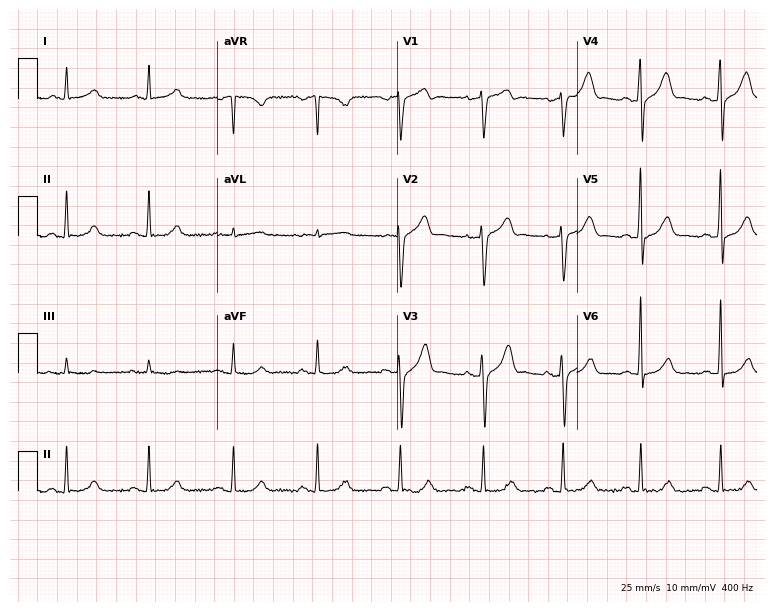
Standard 12-lead ECG recorded from a 51-year-old male. Read as a normal ECG.